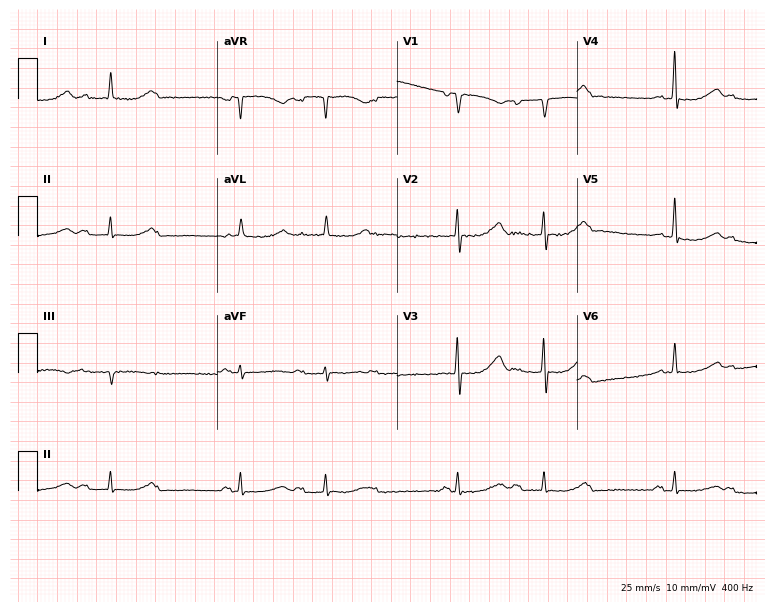
12-lead ECG (7.3-second recording at 400 Hz) from a woman, 83 years old. Screened for six findings — first-degree AV block, right bundle branch block, left bundle branch block, sinus bradycardia, atrial fibrillation, sinus tachycardia — none is recorded. Other findings, if any, are not listed.